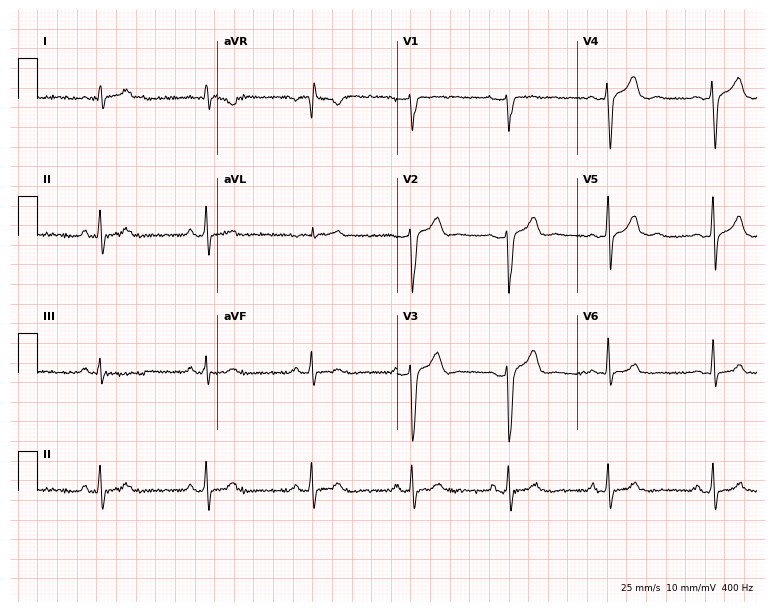
12-lead ECG from a 37-year-old male patient. No first-degree AV block, right bundle branch block (RBBB), left bundle branch block (LBBB), sinus bradycardia, atrial fibrillation (AF) or sinus tachycardia recorded for this tracing.